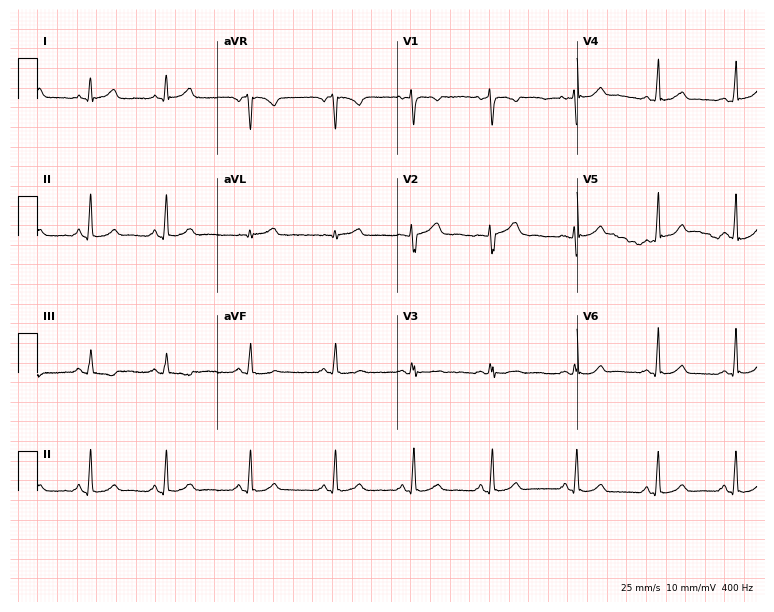
Resting 12-lead electrocardiogram (7.3-second recording at 400 Hz). Patient: a female, 18 years old. Read as a normal ECG.